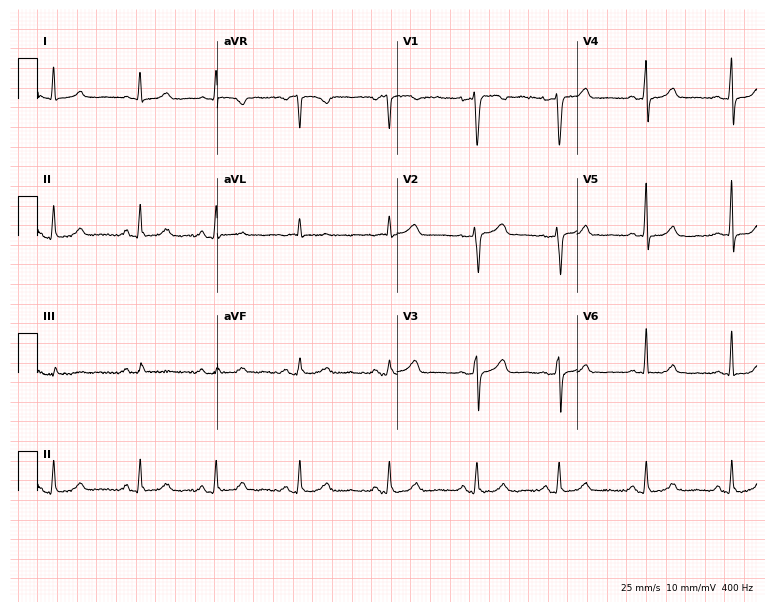
12-lead ECG from a 41-year-old female patient. Screened for six findings — first-degree AV block, right bundle branch block, left bundle branch block, sinus bradycardia, atrial fibrillation, sinus tachycardia — none is recorded. Other findings, if any, are not listed.